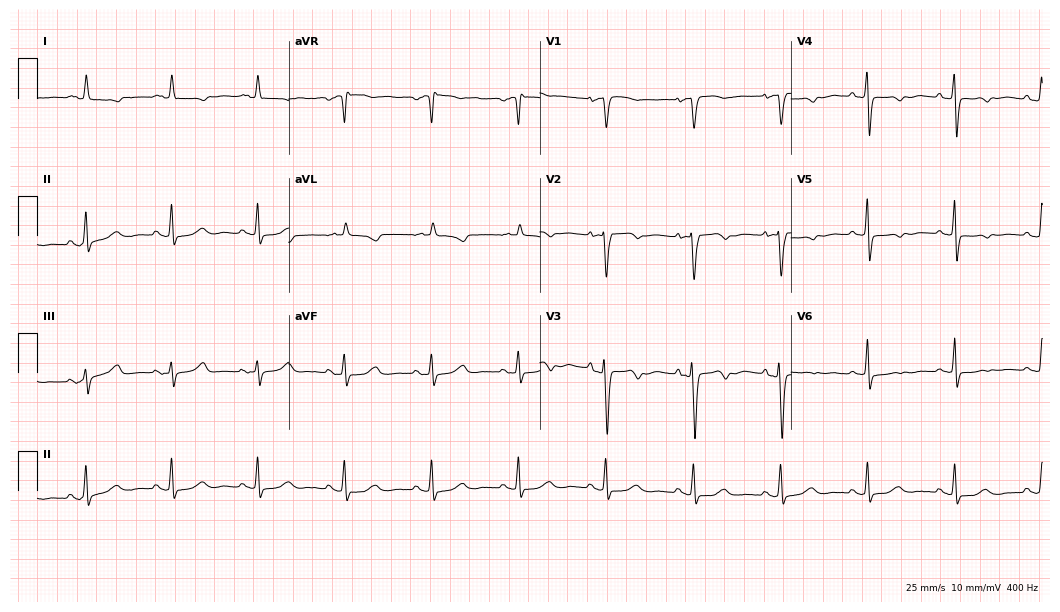
Standard 12-lead ECG recorded from a woman, 68 years old (10.2-second recording at 400 Hz). None of these six findings is recorded: first-degree AV block, right bundle branch block, left bundle branch block, sinus bradycardia, atrial fibrillation, sinus tachycardia. Other findings, if any, are not listed.